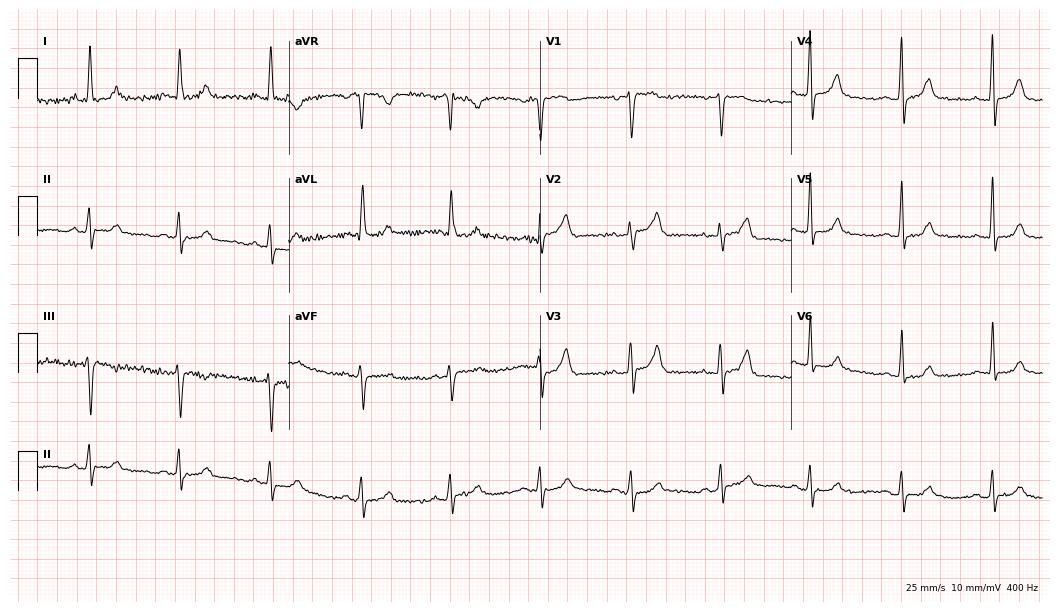
Electrocardiogram, a female, 57 years old. Overall reading on record: normal ECG.